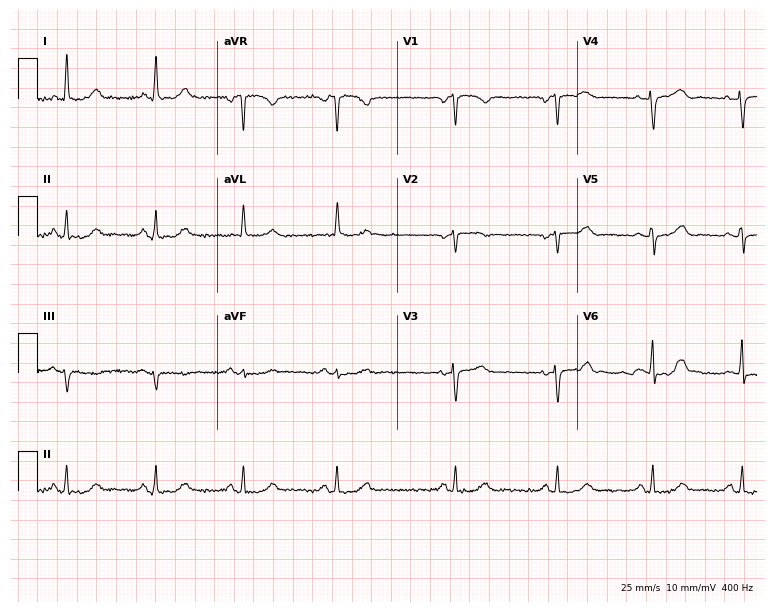
ECG (7.3-second recording at 400 Hz) — a 65-year-old female patient. Screened for six findings — first-degree AV block, right bundle branch block, left bundle branch block, sinus bradycardia, atrial fibrillation, sinus tachycardia — none is recorded.